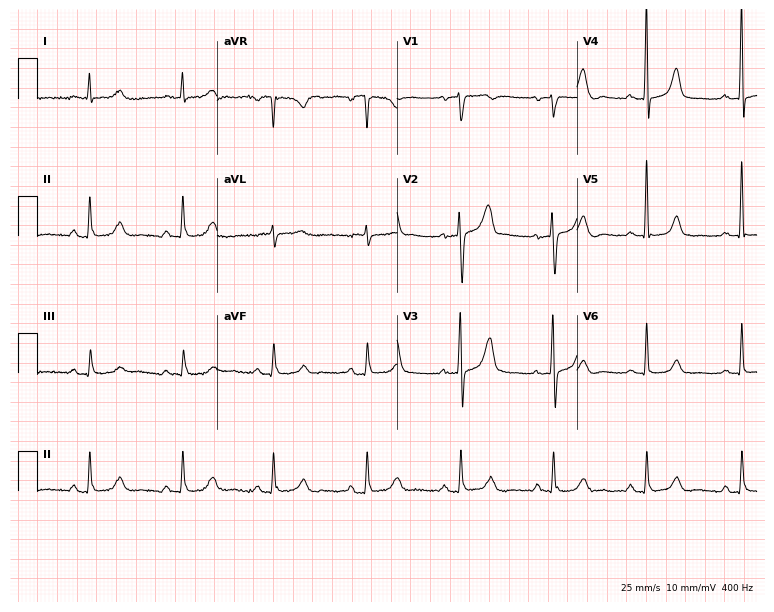
12-lead ECG from a female, 75 years old (7.3-second recording at 400 Hz). No first-degree AV block, right bundle branch block, left bundle branch block, sinus bradycardia, atrial fibrillation or sinus tachycardia recorded for this tracing.